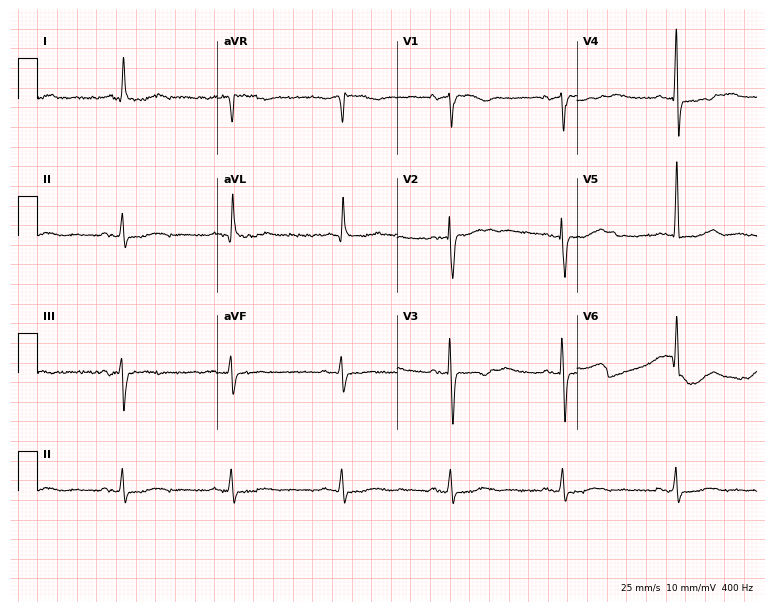
Electrocardiogram, an 84-year-old female. Of the six screened findings (first-degree AV block, right bundle branch block, left bundle branch block, sinus bradycardia, atrial fibrillation, sinus tachycardia), none is recorded.